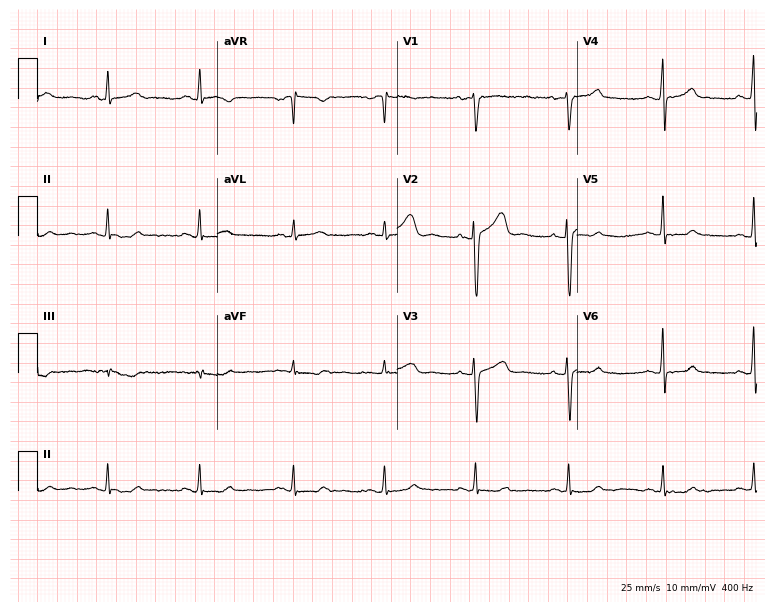
Standard 12-lead ECG recorded from a 32-year-old female. Read as a normal ECG.